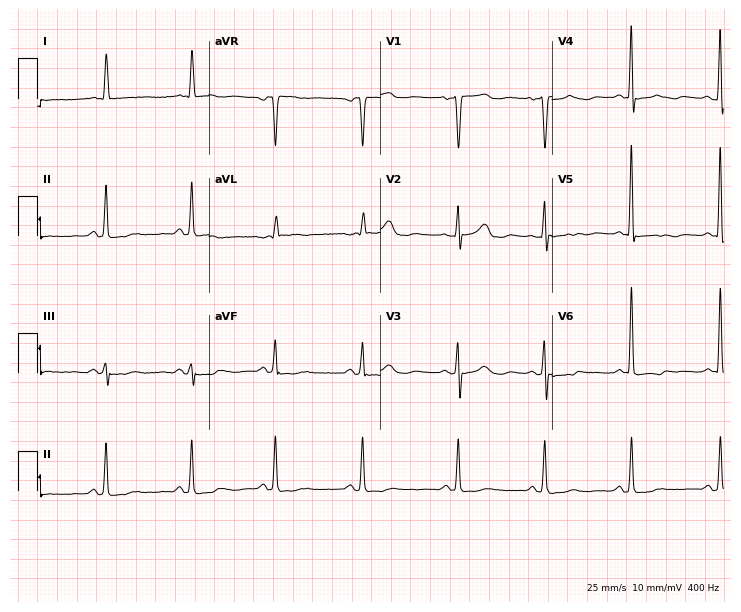
Standard 12-lead ECG recorded from a 76-year-old female (7-second recording at 400 Hz). None of these six findings is recorded: first-degree AV block, right bundle branch block, left bundle branch block, sinus bradycardia, atrial fibrillation, sinus tachycardia.